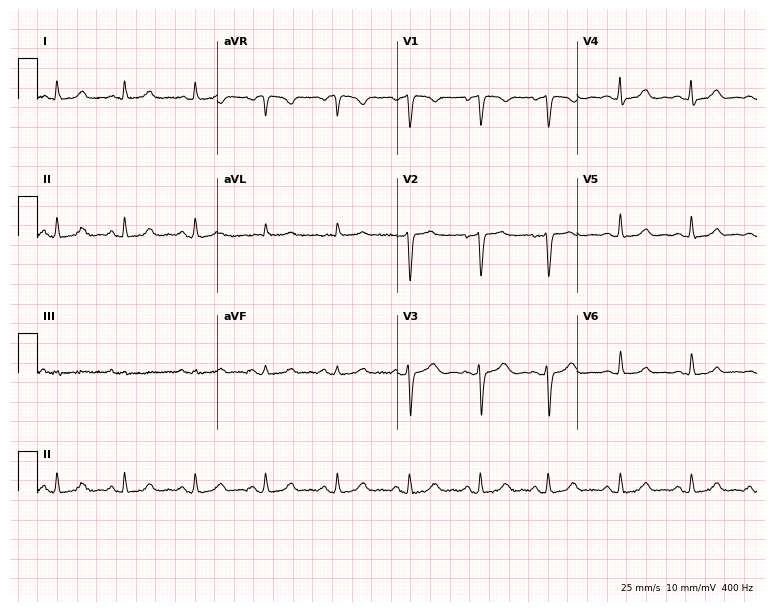
12-lead ECG from a 42-year-old female. No first-degree AV block, right bundle branch block, left bundle branch block, sinus bradycardia, atrial fibrillation or sinus tachycardia recorded for this tracing. Findings outside these six are not listed.